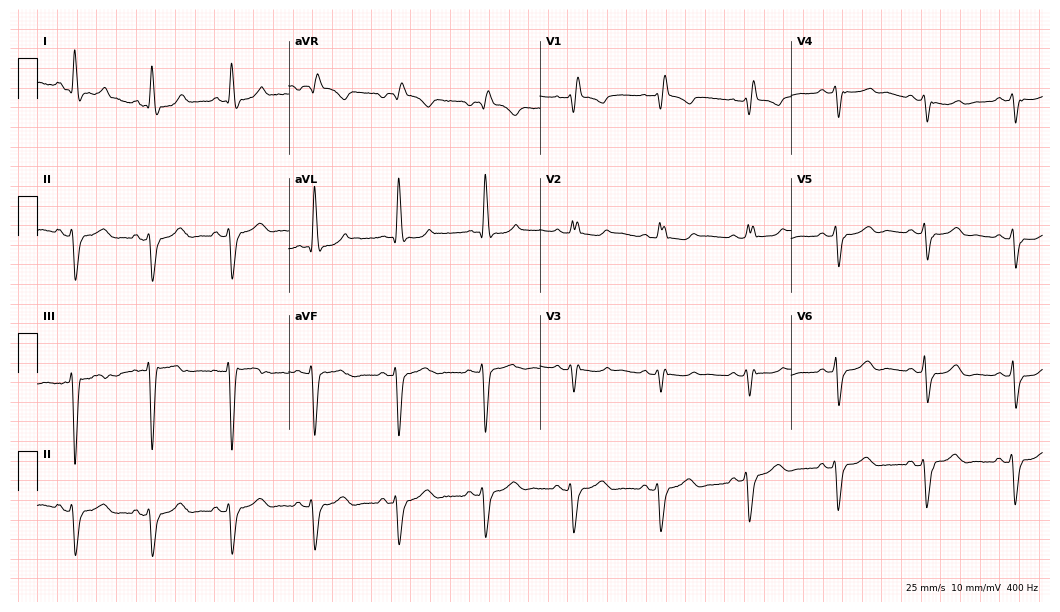
Resting 12-lead electrocardiogram (10.2-second recording at 400 Hz). Patient: an 83-year-old female. The tracing shows right bundle branch block.